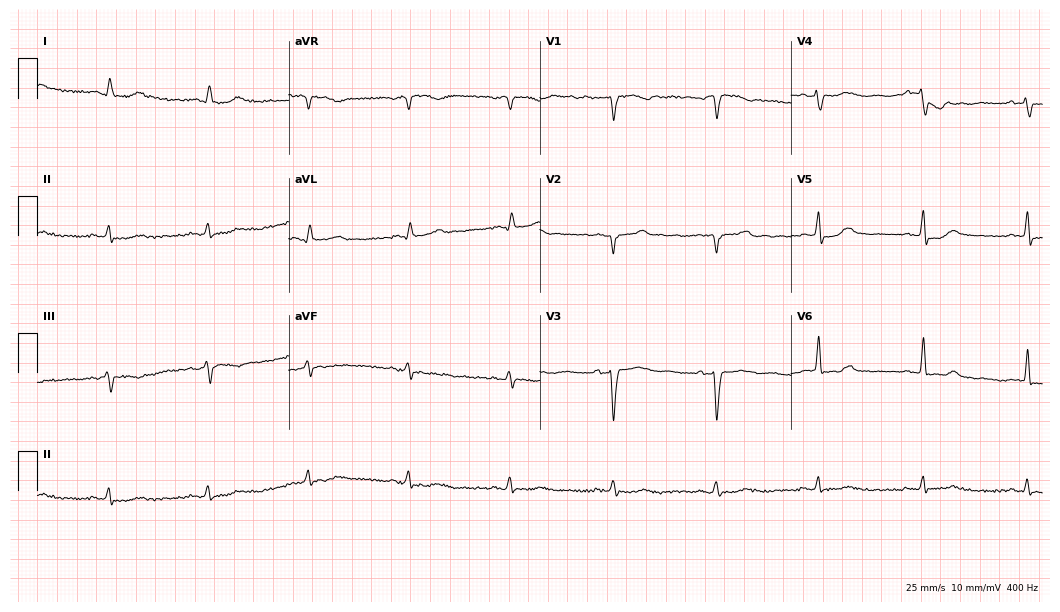
12-lead ECG (10.2-second recording at 400 Hz) from a 76-year-old male. Labelled as a normal ECG.